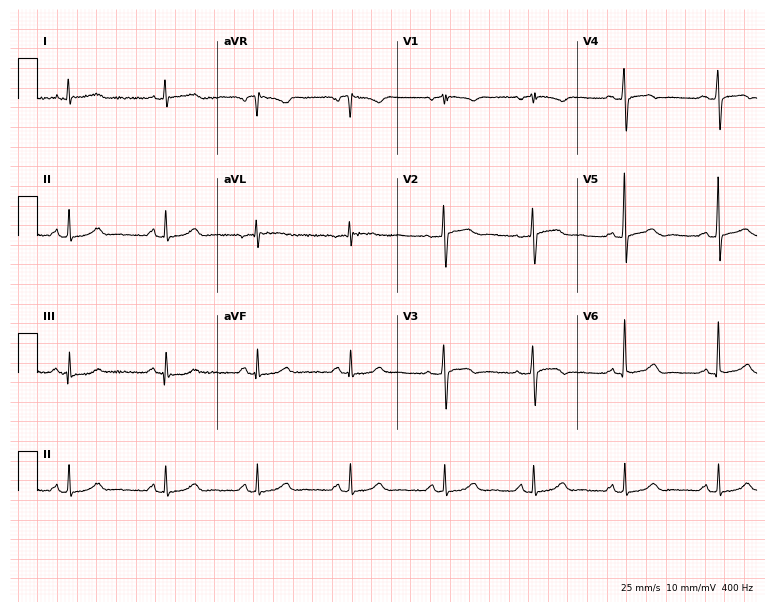
12-lead ECG from a female, 61 years old. Labelled as a normal ECG.